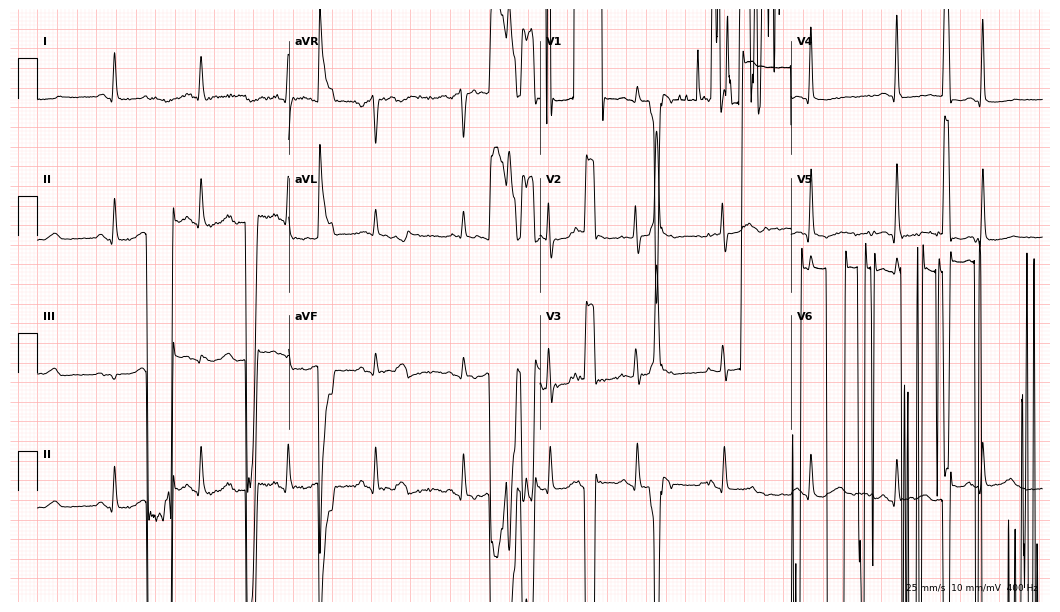
Resting 12-lead electrocardiogram (10.2-second recording at 400 Hz). Patient: a 59-year-old female. None of these six findings is recorded: first-degree AV block, right bundle branch block, left bundle branch block, sinus bradycardia, atrial fibrillation, sinus tachycardia. Findings outside these six are not listed.